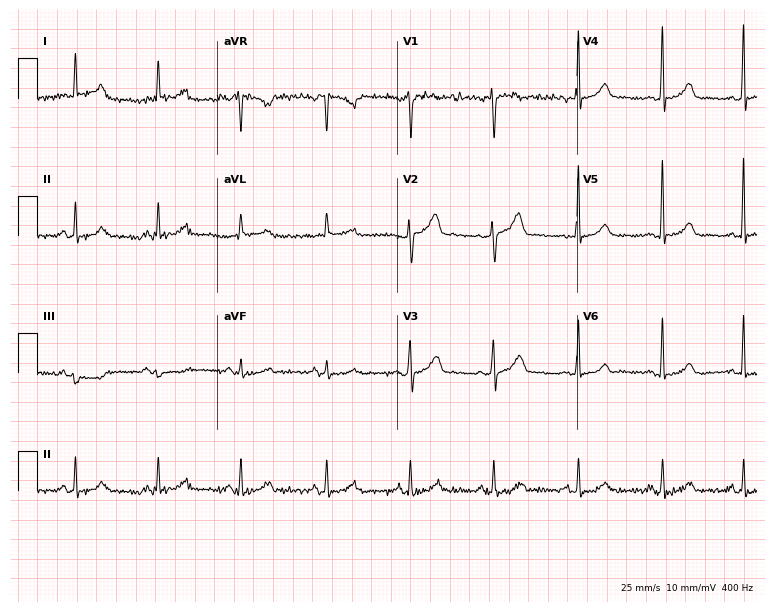
Electrocardiogram (7.3-second recording at 400 Hz), a woman, 50 years old. Of the six screened findings (first-degree AV block, right bundle branch block, left bundle branch block, sinus bradycardia, atrial fibrillation, sinus tachycardia), none is recorded.